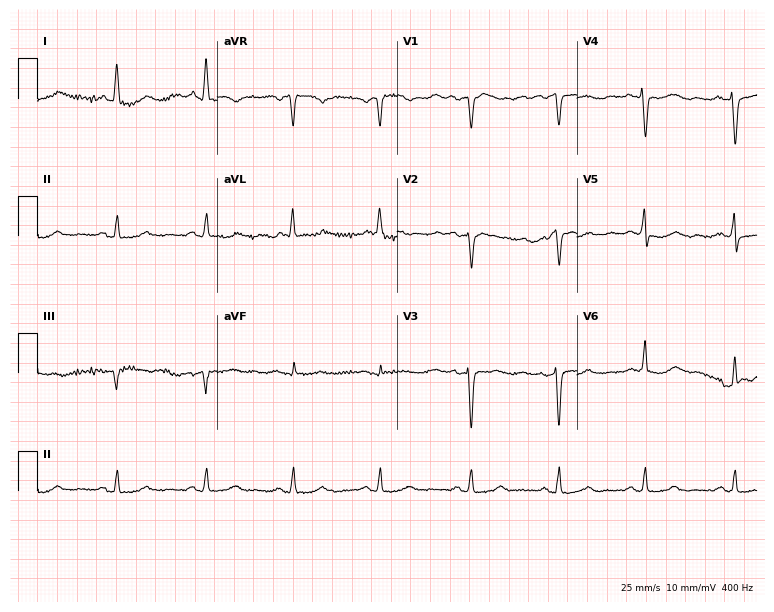
ECG — an 83-year-old woman. Screened for six findings — first-degree AV block, right bundle branch block (RBBB), left bundle branch block (LBBB), sinus bradycardia, atrial fibrillation (AF), sinus tachycardia — none is recorded.